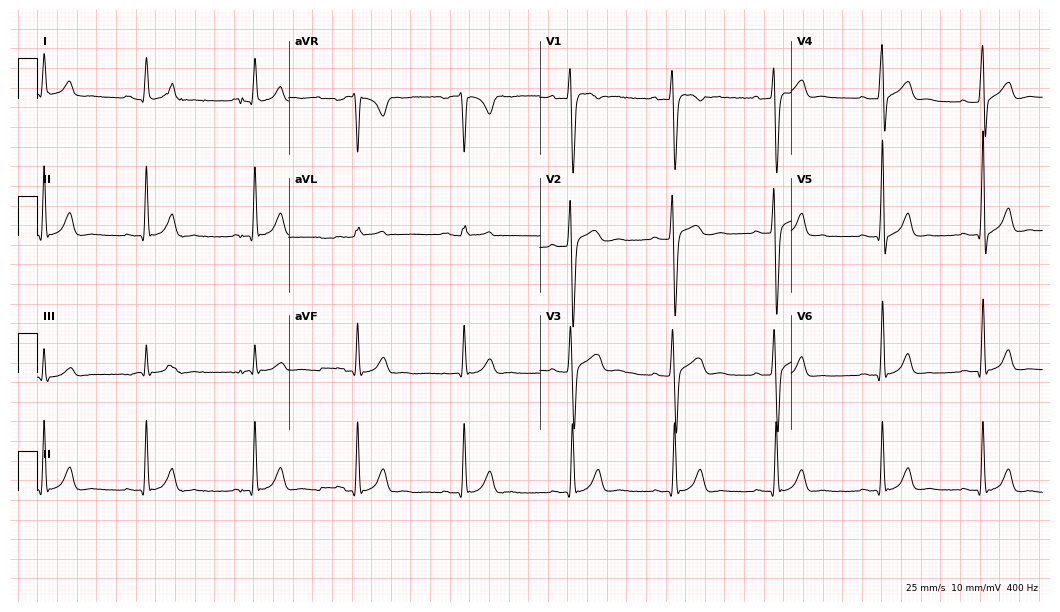
Standard 12-lead ECG recorded from a male patient, 27 years old (10.2-second recording at 400 Hz). None of these six findings is recorded: first-degree AV block, right bundle branch block (RBBB), left bundle branch block (LBBB), sinus bradycardia, atrial fibrillation (AF), sinus tachycardia. Findings outside these six are not listed.